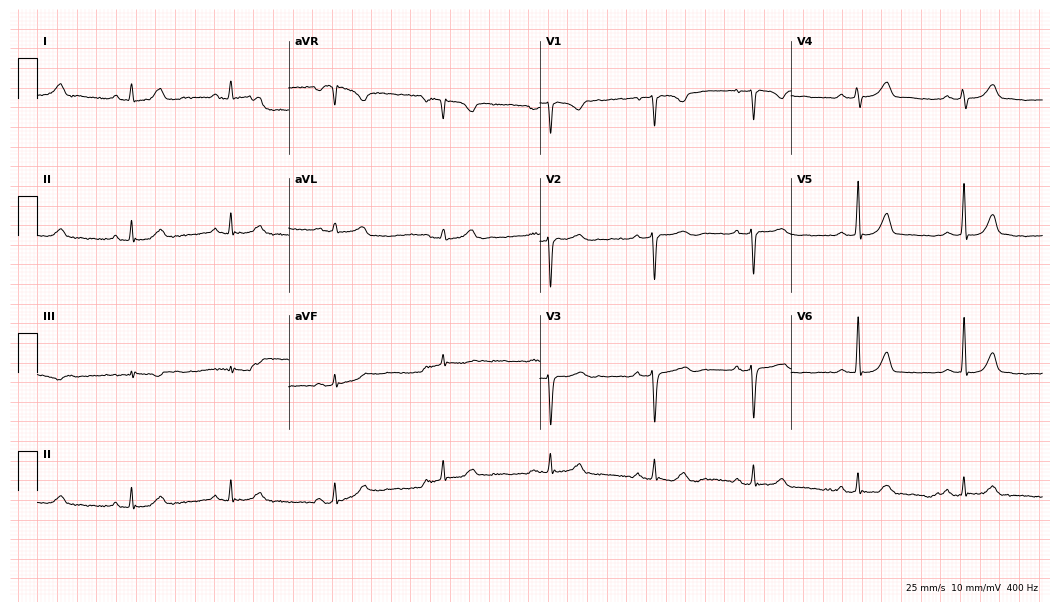
12-lead ECG from a 45-year-old woman. Recorded interpretation: within normal limits.